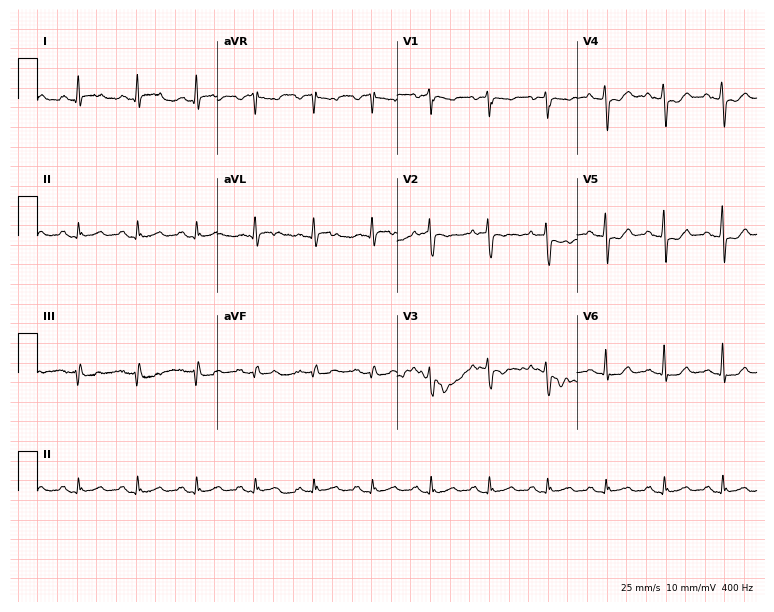
Electrocardiogram, a female patient, 70 years old. Overall reading on record: normal ECG.